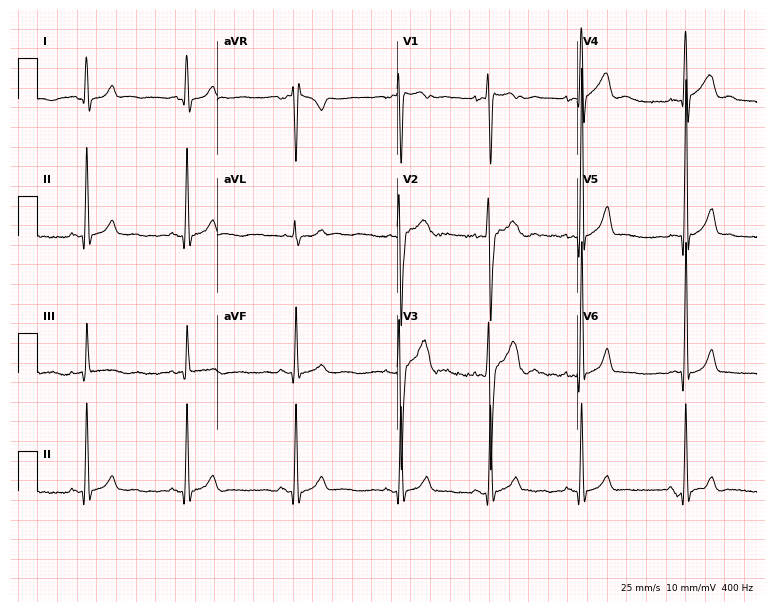
Standard 12-lead ECG recorded from a male, 19 years old (7.3-second recording at 400 Hz). None of these six findings is recorded: first-degree AV block, right bundle branch block (RBBB), left bundle branch block (LBBB), sinus bradycardia, atrial fibrillation (AF), sinus tachycardia. Other findings, if any, are not listed.